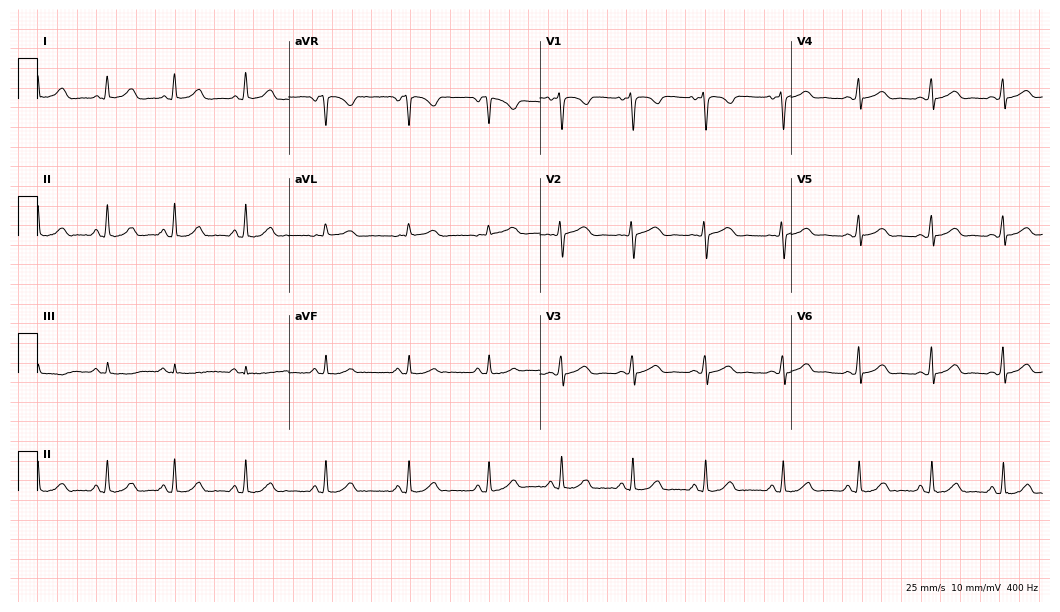
Electrocardiogram, a 20-year-old female. Overall reading on record: normal ECG.